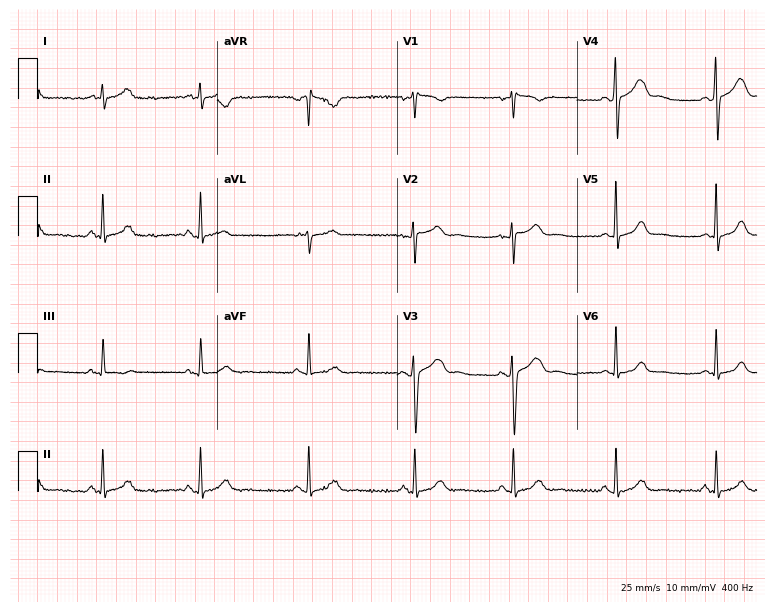
12-lead ECG from a woman, 24 years old. Recorded interpretation: within normal limits.